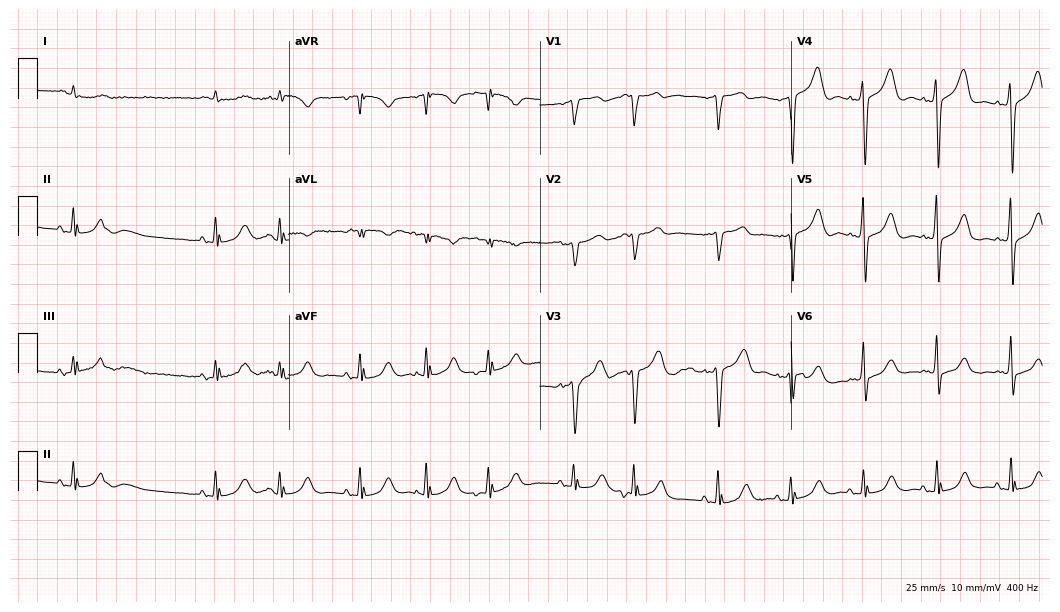
ECG (10.2-second recording at 400 Hz) — a male patient, 81 years old. Screened for six findings — first-degree AV block, right bundle branch block (RBBB), left bundle branch block (LBBB), sinus bradycardia, atrial fibrillation (AF), sinus tachycardia — none is recorded.